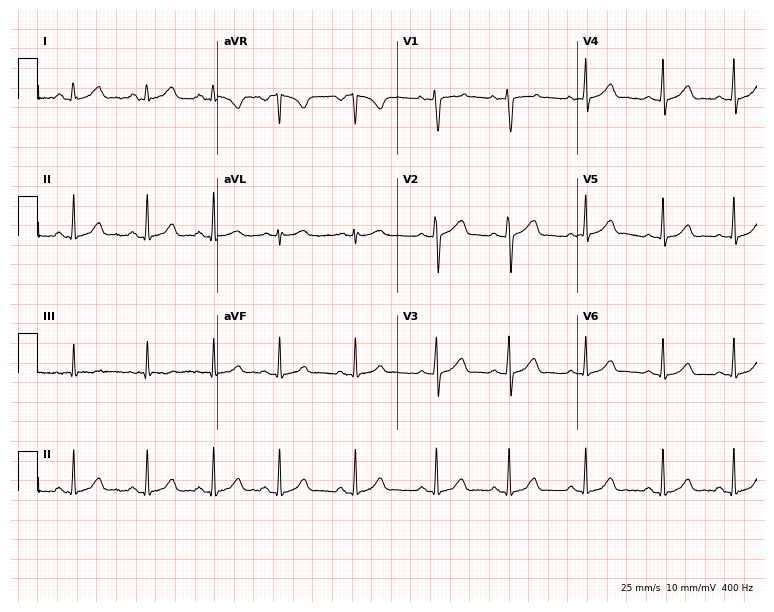
ECG (7.3-second recording at 400 Hz) — a woman, 17 years old. Labelled as a normal ECG.